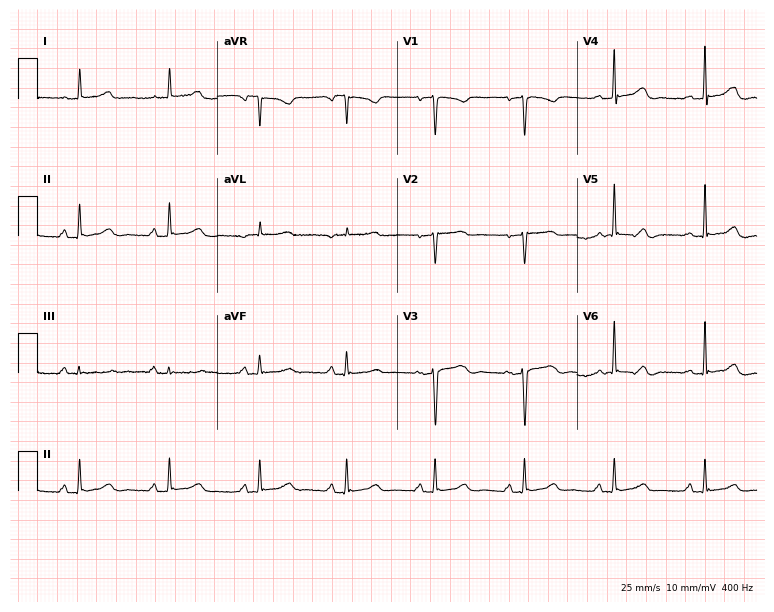
Resting 12-lead electrocardiogram. Patient: a woman, 54 years old. Read as a normal ECG.